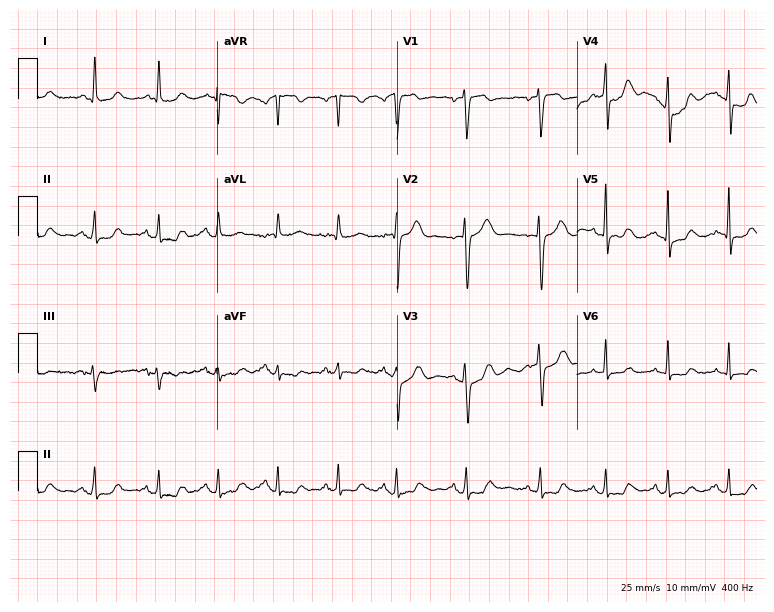
Resting 12-lead electrocardiogram. Patient: a 68-year-old female. Read as a normal ECG.